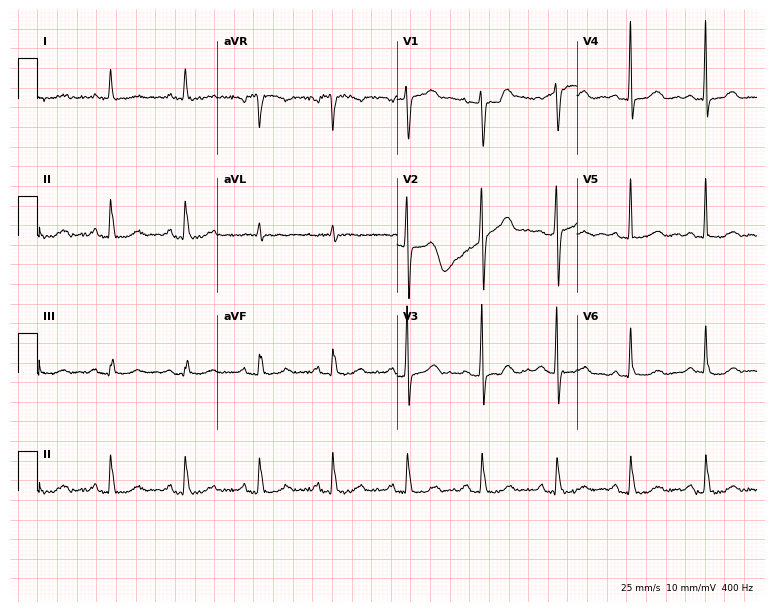
12-lead ECG from a woman, 61 years old. No first-degree AV block, right bundle branch block, left bundle branch block, sinus bradycardia, atrial fibrillation or sinus tachycardia recorded for this tracing. Other findings, if any, are not listed.